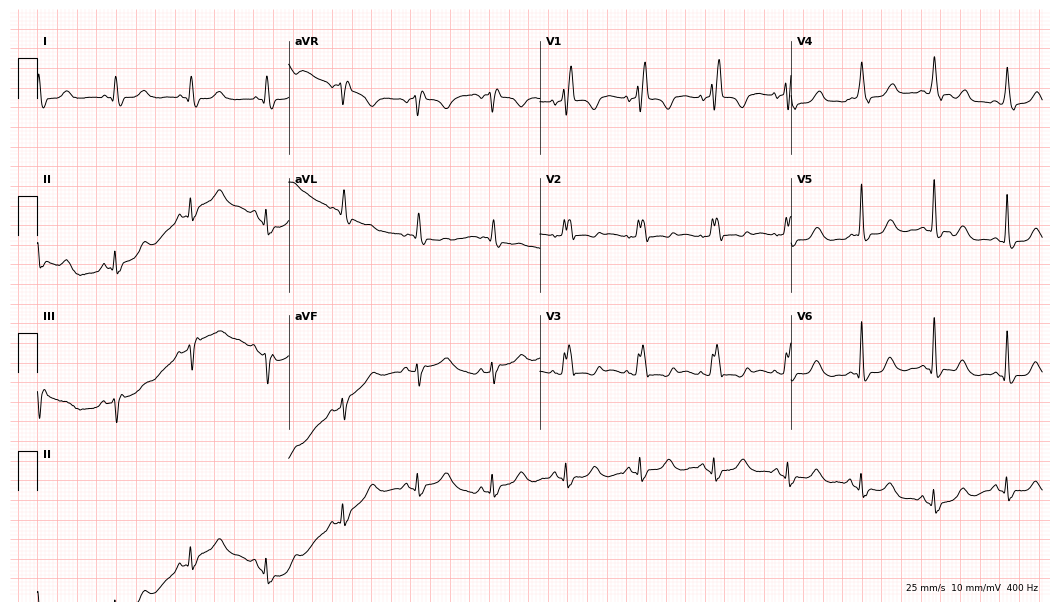
12-lead ECG from an 80-year-old female. Shows right bundle branch block (RBBB).